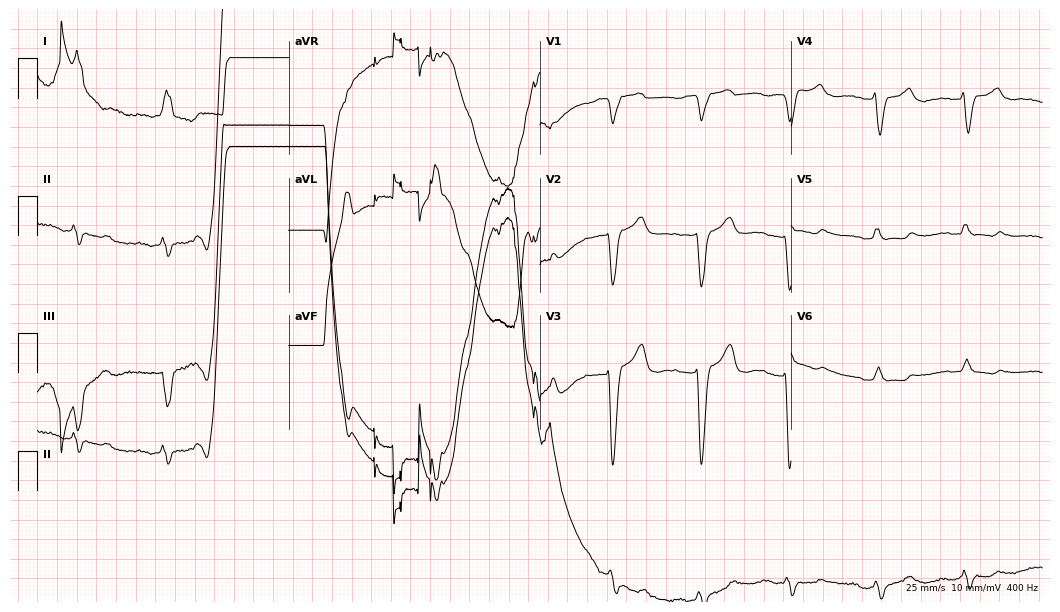
12-lead ECG (10.2-second recording at 400 Hz) from an 82-year-old female patient. Screened for six findings — first-degree AV block, right bundle branch block (RBBB), left bundle branch block (LBBB), sinus bradycardia, atrial fibrillation (AF), sinus tachycardia — none is recorded. Only these six findings were labelled.